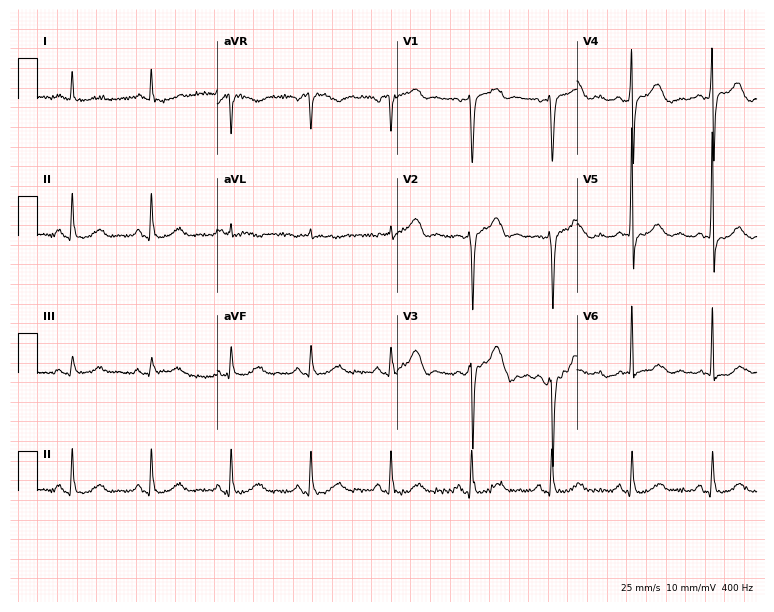
ECG (7.3-second recording at 400 Hz) — a male patient, 74 years old. Screened for six findings — first-degree AV block, right bundle branch block, left bundle branch block, sinus bradycardia, atrial fibrillation, sinus tachycardia — none is recorded. Findings outside these six are not listed.